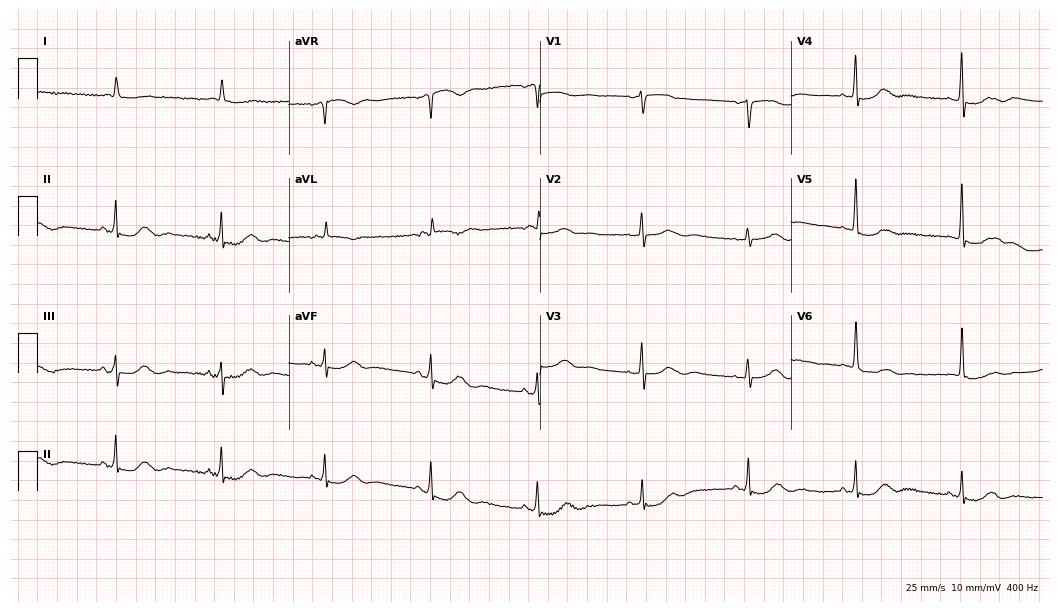
12-lead ECG from a female patient, 77 years old. No first-degree AV block, right bundle branch block, left bundle branch block, sinus bradycardia, atrial fibrillation or sinus tachycardia recorded for this tracing. Findings outside these six are not listed.